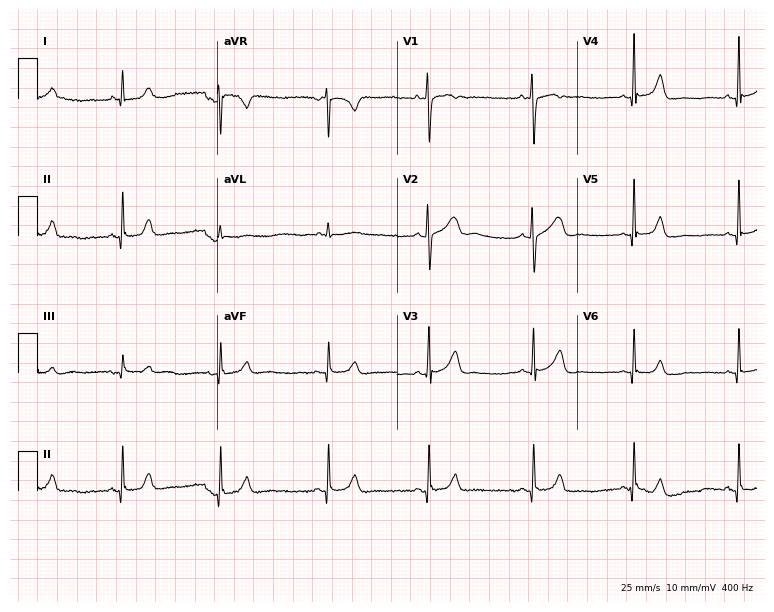
ECG (7.3-second recording at 400 Hz) — a woman, 24 years old. Labelled as a normal ECG.